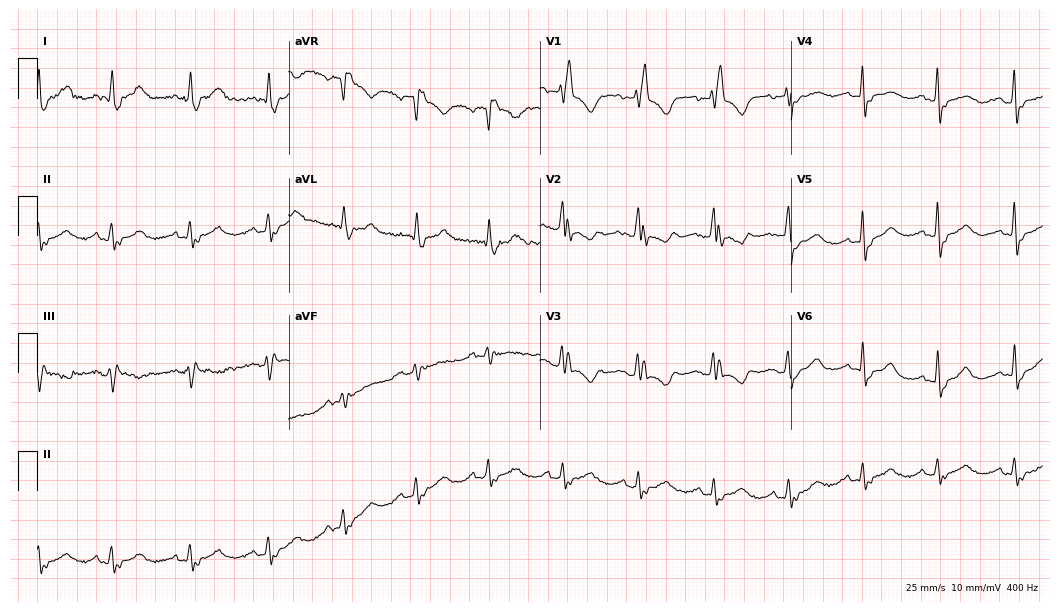
12-lead ECG from a female patient, 53 years old. Shows right bundle branch block.